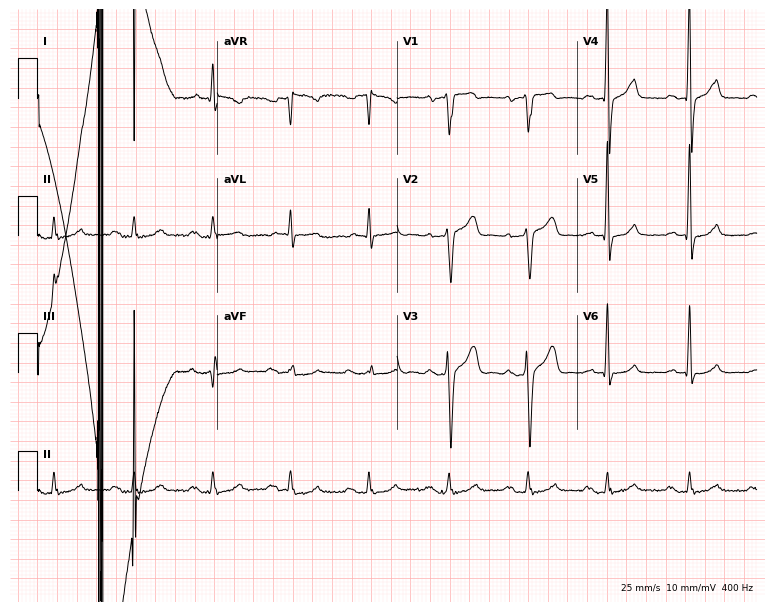
Electrocardiogram, a 65-year-old male. Interpretation includes first-degree AV block.